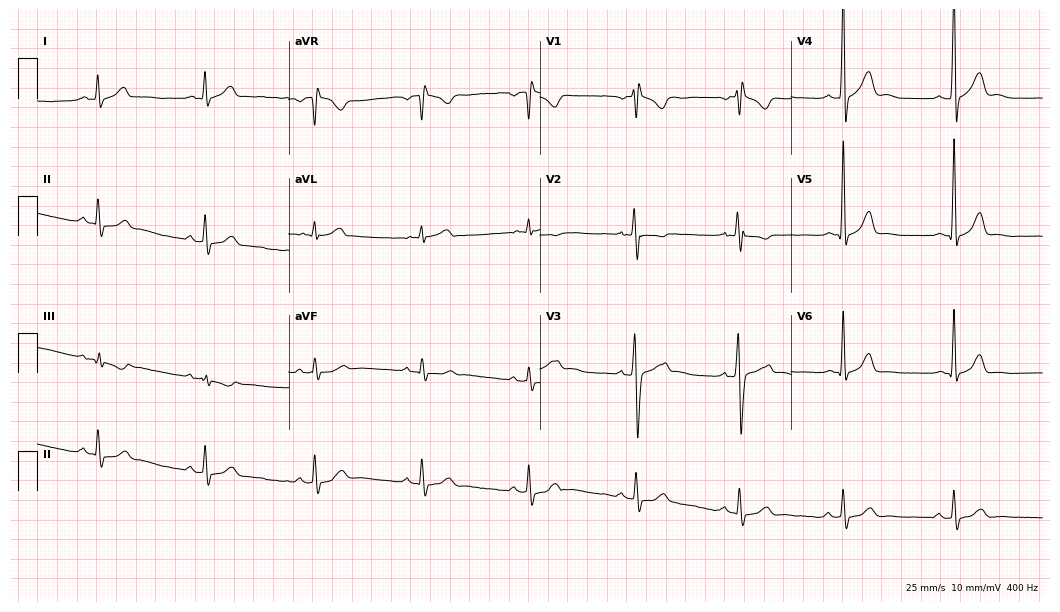
12-lead ECG from a 29-year-old man. No first-degree AV block, right bundle branch block, left bundle branch block, sinus bradycardia, atrial fibrillation or sinus tachycardia recorded for this tracing. Only these six findings were labelled.